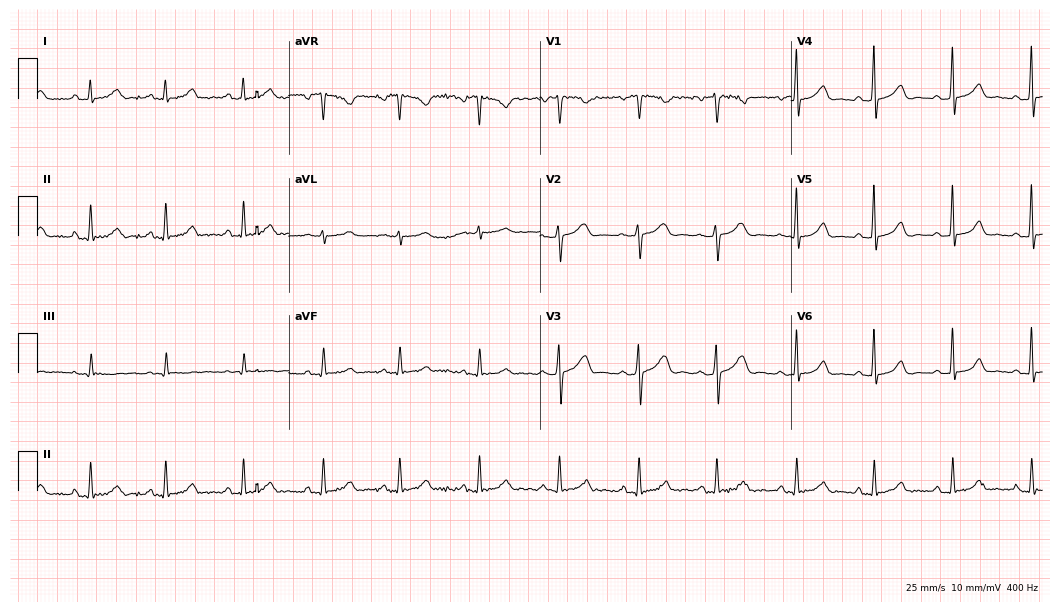
Standard 12-lead ECG recorded from a female, 42 years old. Read as a normal ECG.